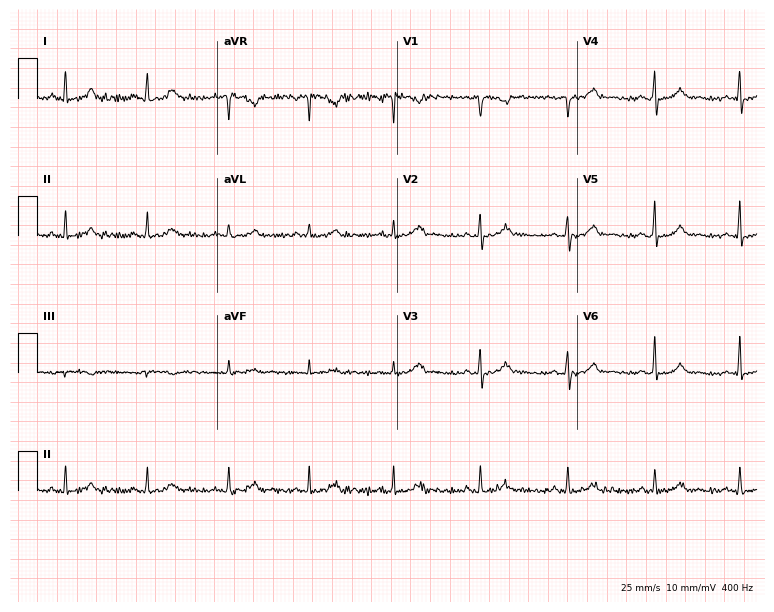
ECG (7.3-second recording at 400 Hz) — a 37-year-old female. Screened for six findings — first-degree AV block, right bundle branch block, left bundle branch block, sinus bradycardia, atrial fibrillation, sinus tachycardia — none is recorded. Other findings, if any, are not listed.